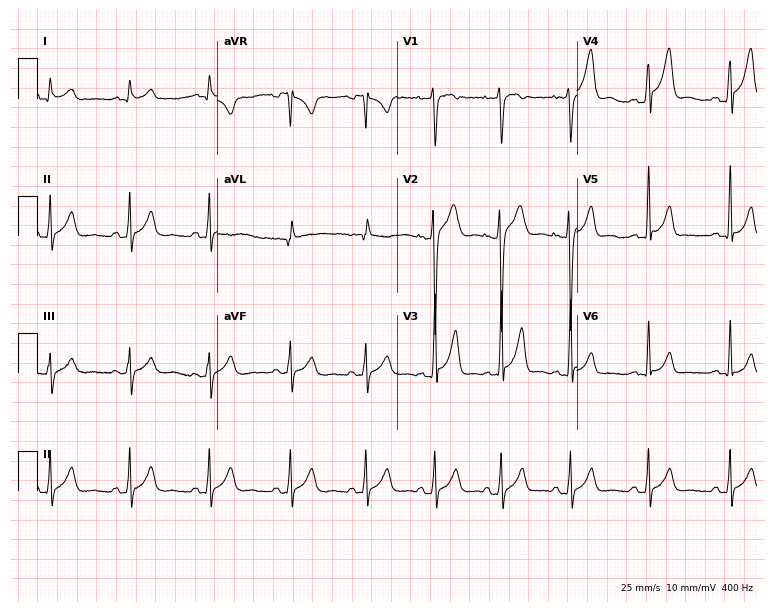
Electrocardiogram, a man, 22 years old. Overall reading on record: normal ECG.